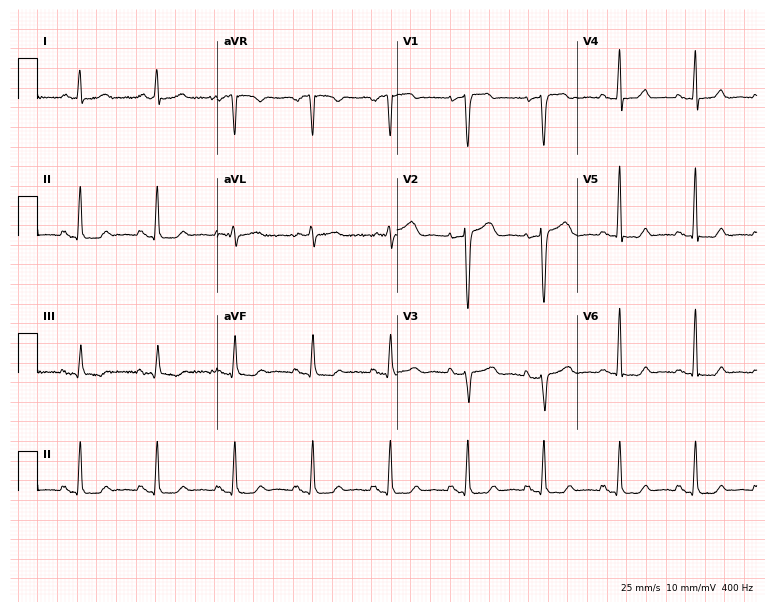
Standard 12-lead ECG recorded from a female patient, 55 years old. None of these six findings is recorded: first-degree AV block, right bundle branch block, left bundle branch block, sinus bradycardia, atrial fibrillation, sinus tachycardia. Only these six findings were labelled.